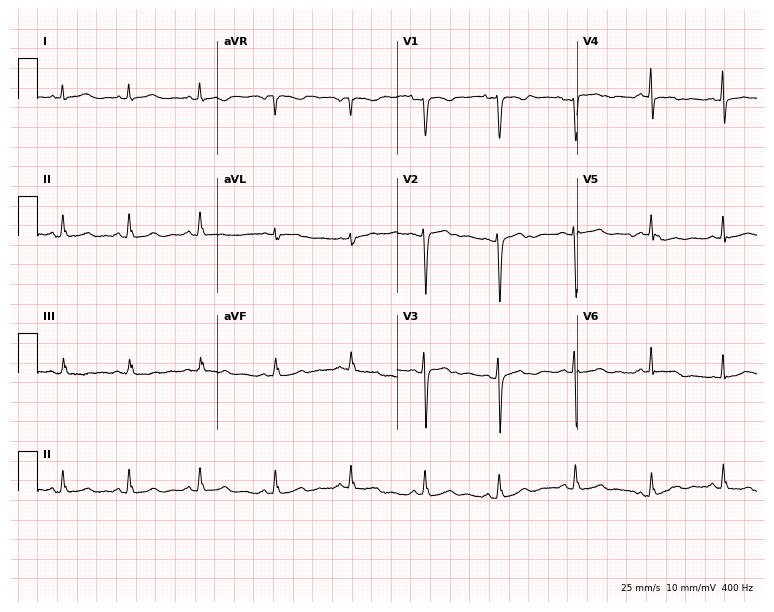
Resting 12-lead electrocardiogram (7.3-second recording at 400 Hz). Patient: a female, 25 years old. None of these six findings is recorded: first-degree AV block, right bundle branch block, left bundle branch block, sinus bradycardia, atrial fibrillation, sinus tachycardia.